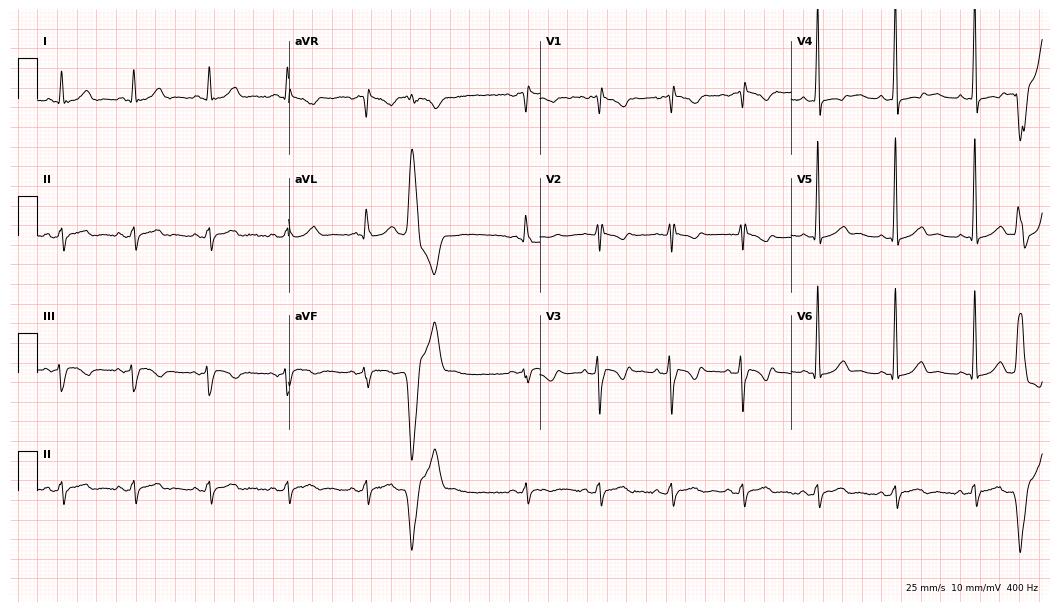
Resting 12-lead electrocardiogram. Patient: a man, 28 years old. None of these six findings is recorded: first-degree AV block, right bundle branch block, left bundle branch block, sinus bradycardia, atrial fibrillation, sinus tachycardia.